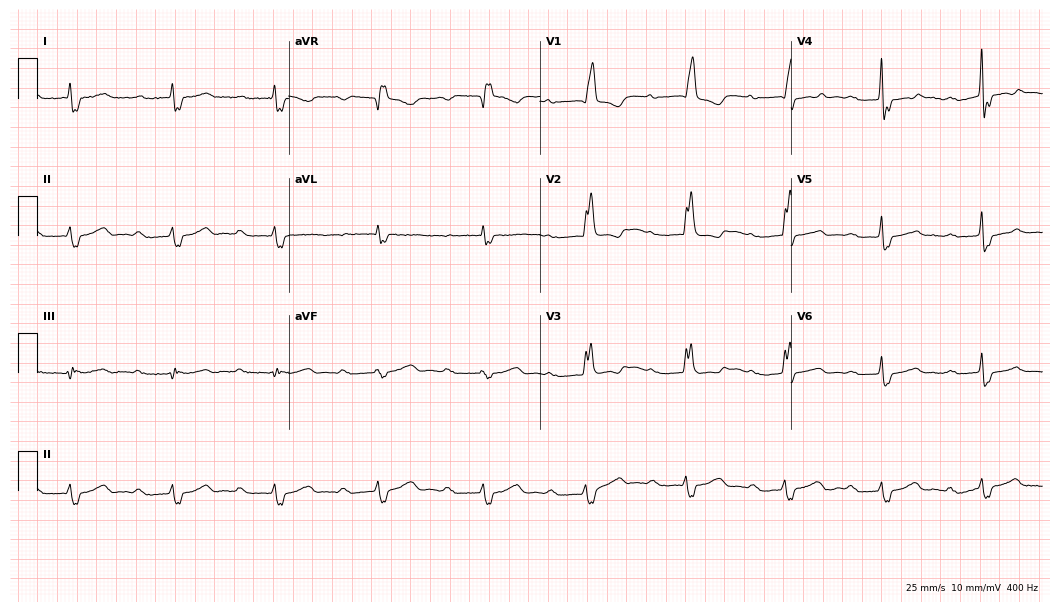
Standard 12-lead ECG recorded from an 80-year-old male patient (10.2-second recording at 400 Hz). The tracing shows first-degree AV block, right bundle branch block.